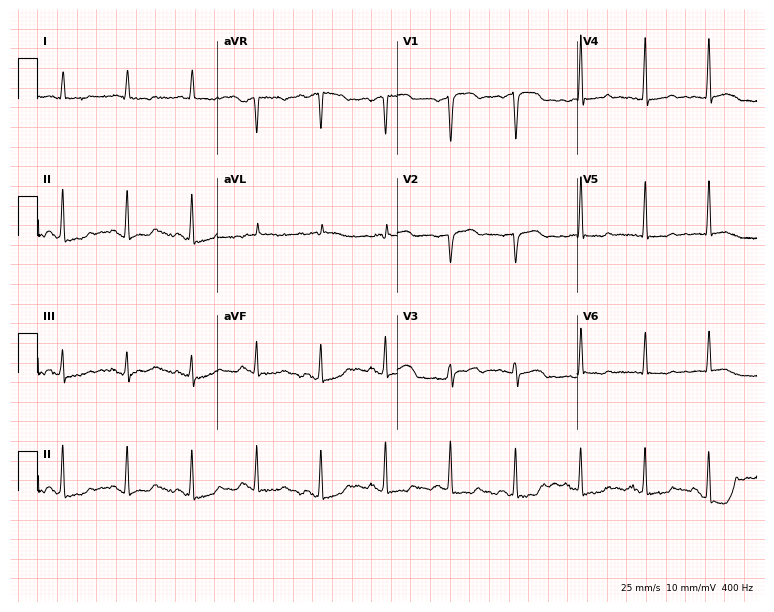
Electrocardiogram (7.3-second recording at 400 Hz), a 76-year-old female patient. Of the six screened findings (first-degree AV block, right bundle branch block (RBBB), left bundle branch block (LBBB), sinus bradycardia, atrial fibrillation (AF), sinus tachycardia), none is recorded. Only these six findings were labelled.